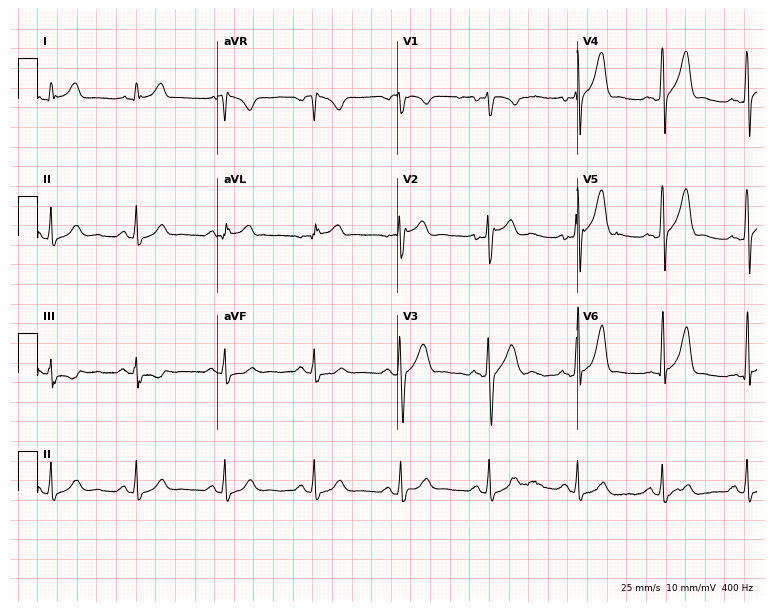
Electrocardiogram (7.3-second recording at 400 Hz), a 39-year-old male. Of the six screened findings (first-degree AV block, right bundle branch block (RBBB), left bundle branch block (LBBB), sinus bradycardia, atrial fibrillation (AF), sinus tachycardia), none is recorded.